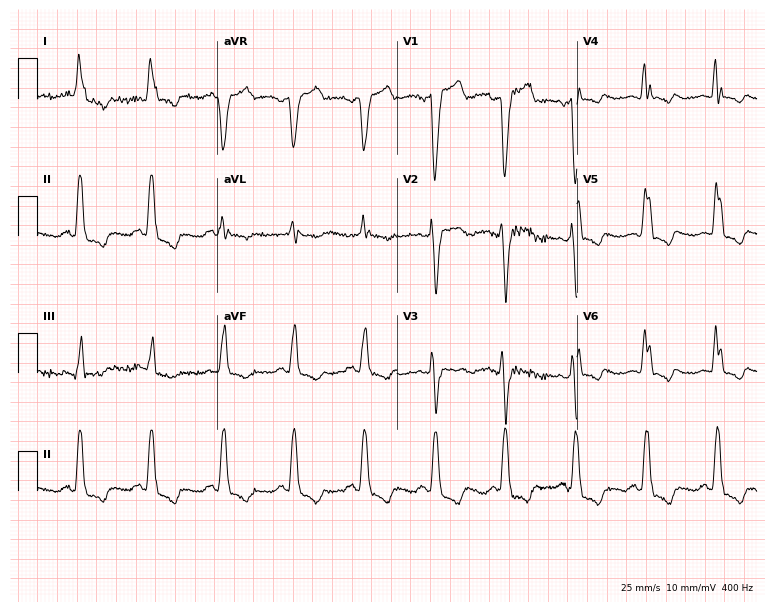
Electrocardiogram (7.3-second recording at 400 Hz), a female, 75 years old. Interpretation includes left bundle branch block.